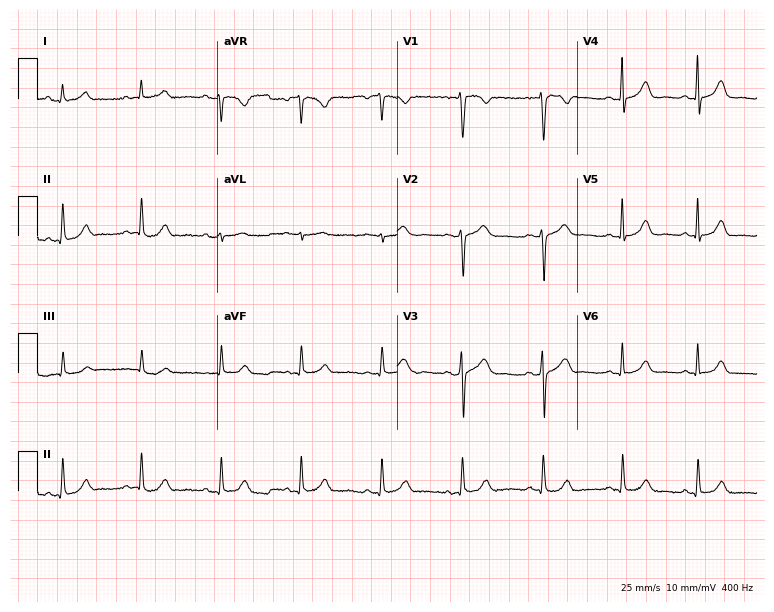
Resting 12-lead electrocardiogram (7.3-second recording at 400 Hz). Patient: a 35-year-old female. Read as a normal ECG.